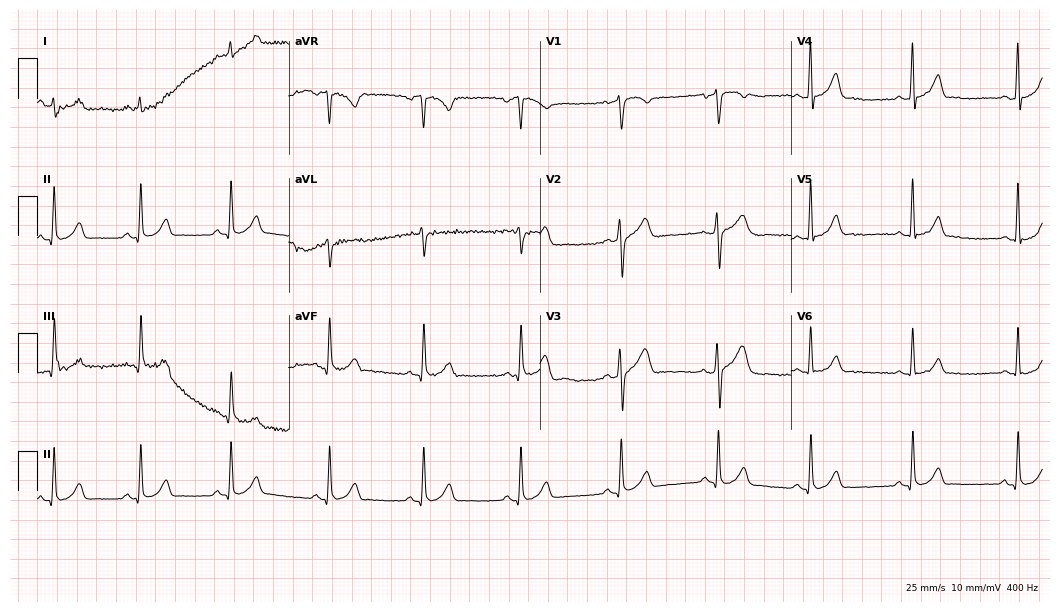
12-lead ECG from a male patient, 29 years old (10.2-second recording at 400 Hz). No first-degree AV block, right bundle branch block, left bundle branch block, sinus bradycardia, atrial fibrillation or sinus tachycardia recorded for this tracing. Only these six findings were labelled.